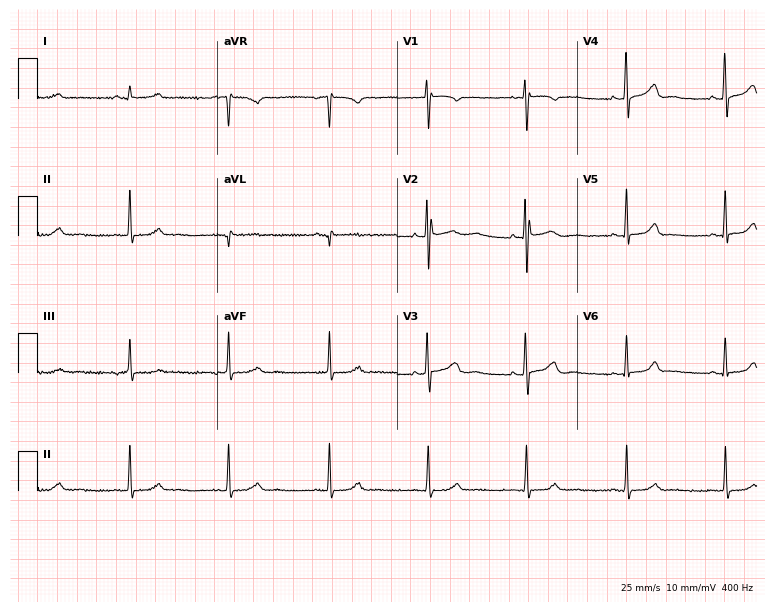
Resting 12-lead electrocardiogram. Patient: a woman, 46 years old. Read as a normal ECG.